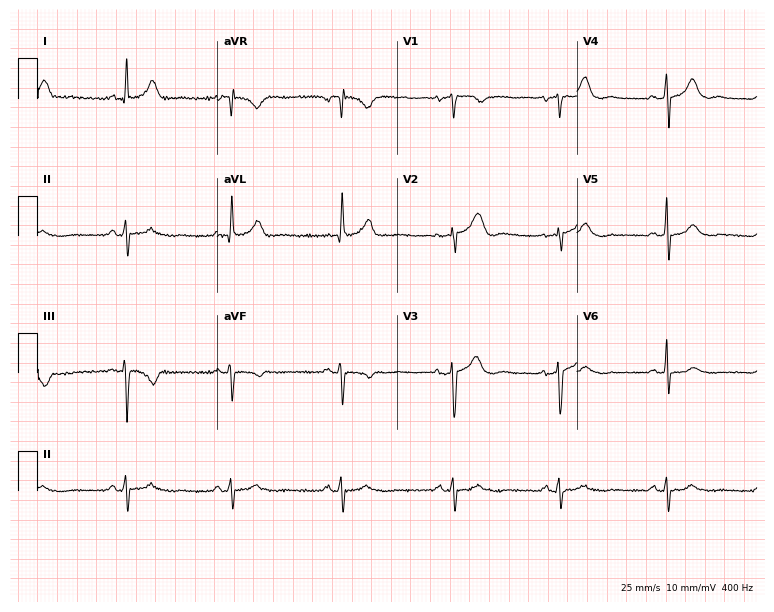
Resting 12-lead electrocardiogram (7.3-second recording at 400 Hz). Patient: a woman, 54 years old. None of these six findings is recorded: first-degree AV block, right bundle branch block, left bundle branch block, sinus bradycardia, atrial fibrillation, sinus tachycardia. Findings outside these six are not listed.